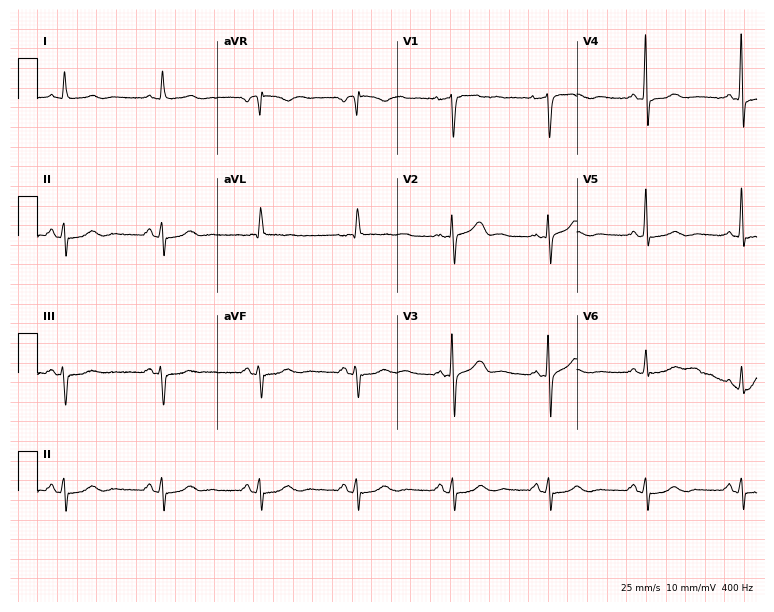
Resting 12-lead electrocardiogram (7.3-second recording at 400 Hz). Patient: a male, 74 years old. None of these six findings is recorded: first-degree AV block, right bundle branch block, left bundle branch block, sinus bradycardia, atrial fibrillation, sinus tachycardia.